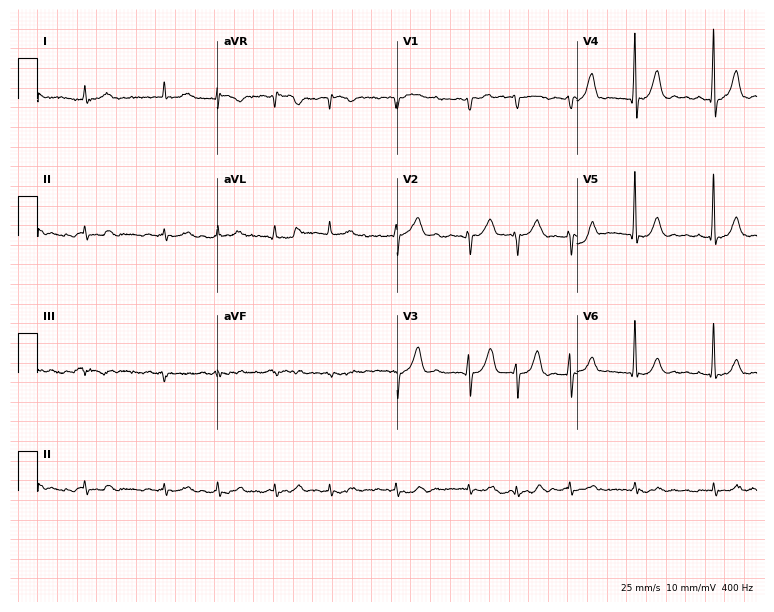
Electrocardiogram (7.3-second recording at 400 Hz), a male, 82 years old. Of the six screened findings (first-degree AV block, right bundle branch block, left bundle branch block, sinus bradycardia, atrial fibrillation, sinus tachycardia), none is recorded.